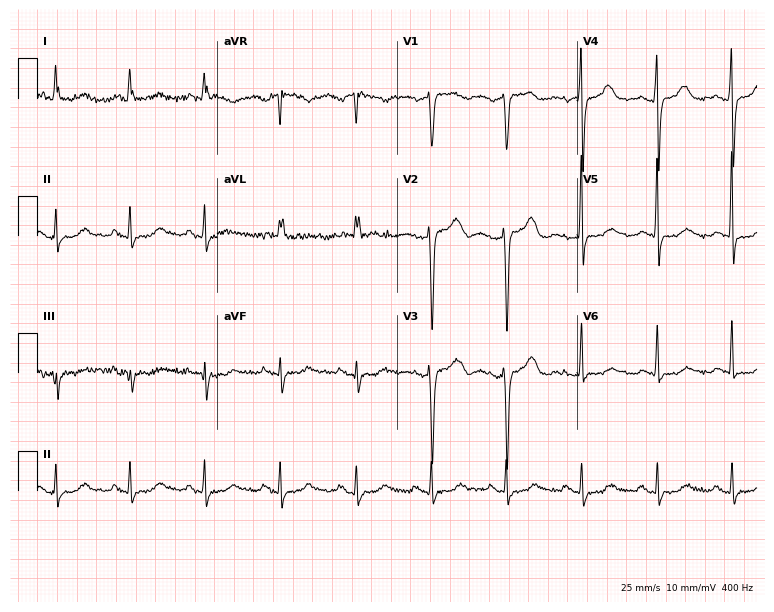
Electrocardiogram, a 73-year-old woman. Of the six screened findings (first-degree AV block, right bundle branch block, left bundle branch block, sinus bradycardia, atrial fibrillation, sinus tachycardia), none is recorded. Findings outside these six are not listed.